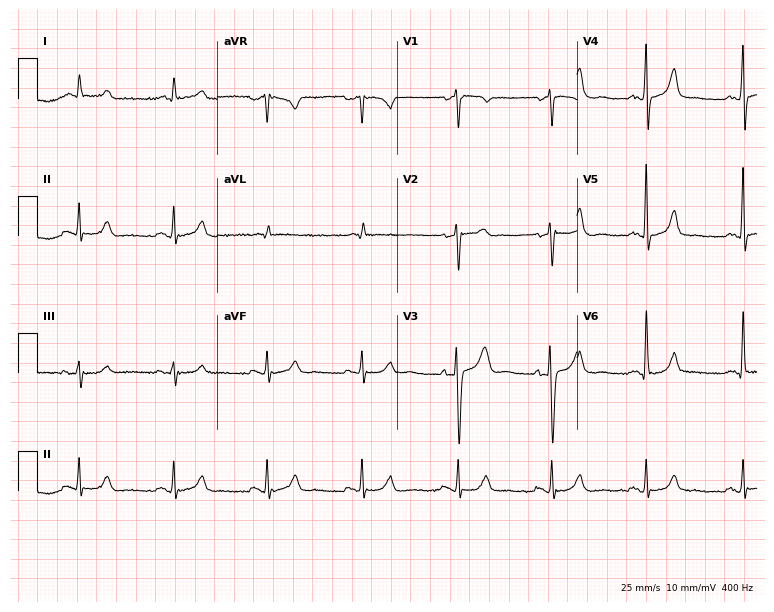
12-lead ECG from a male, 80 years old. Screened for six findings — first-degree AV block, right bundle branch block (RBBB), left bundle branch block (LBBB), sinus bradycardia, atrial fibrillation (AF), sinus tachycardia — none is recorded.